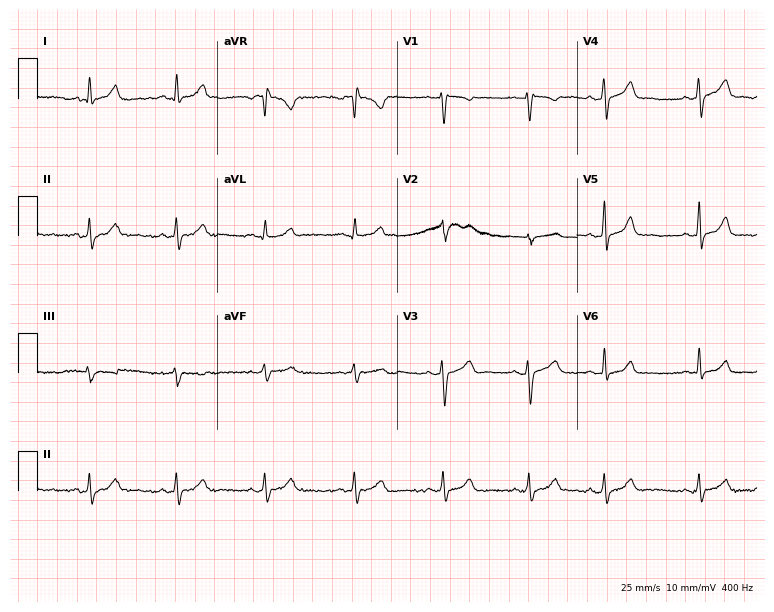
Electrocardiogram (7.3-second recording at 400 Hz), a 35-year-old woman. Overall reading on record: normal ECG.